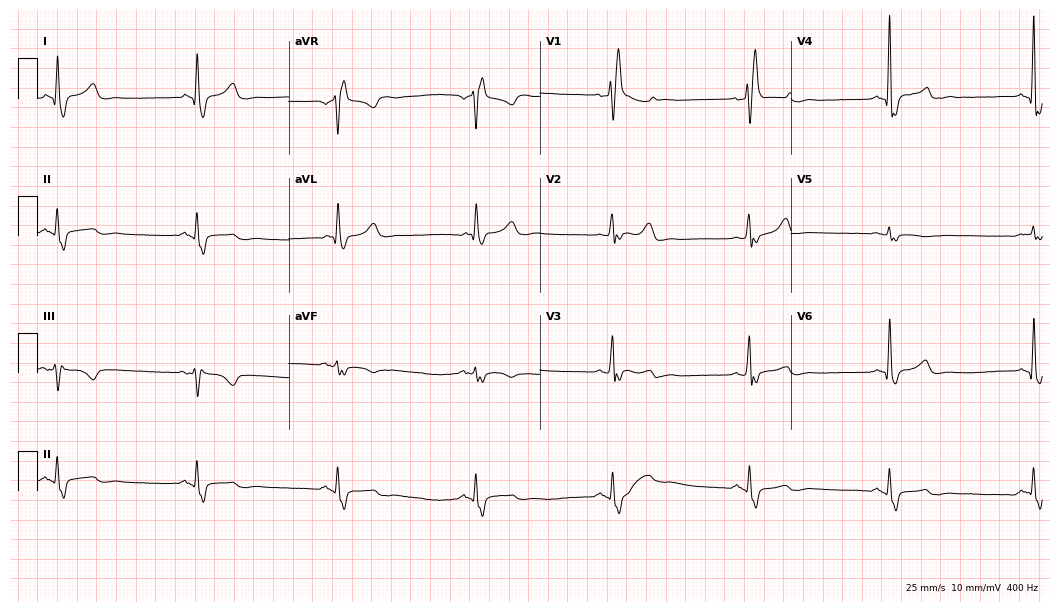
12-lead ECG from a 69-year-old man. Findings include right bundle branch block (RBBB).